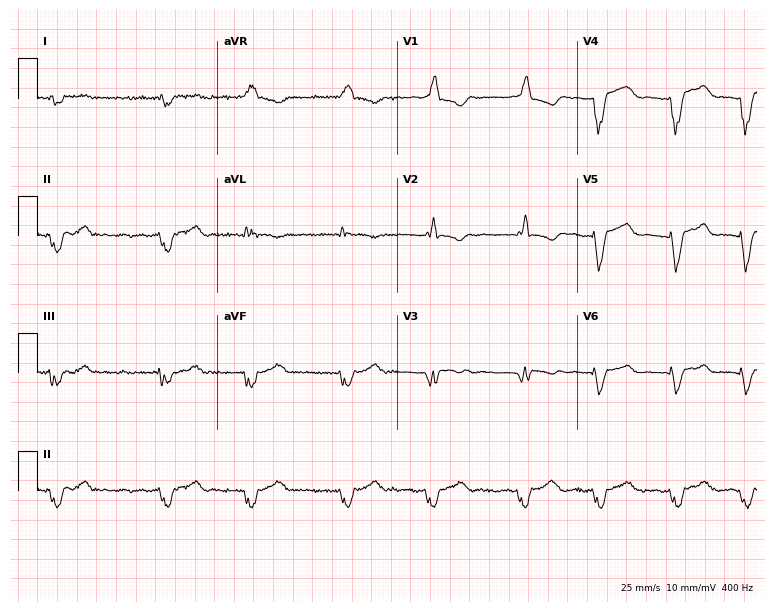
Standard 12-lead ECG recorded from a male patient, 68 years old. None of these six findings is recorded: first-degree AV block, right bundle branch block, left bundle branch block, sinus bradycardia, atrial fibrillation, sinus tachycardia.